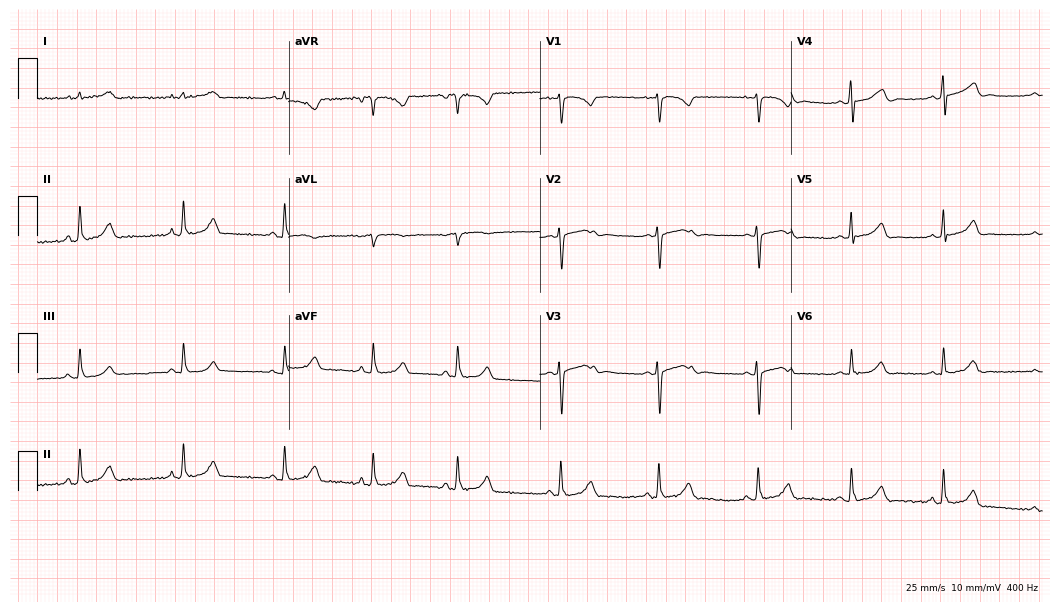
Resting 12-lead electrocardiogram (10.2-second recording at 400 Hz). Patient: a female, 19 years old. Read as a normal ECG.